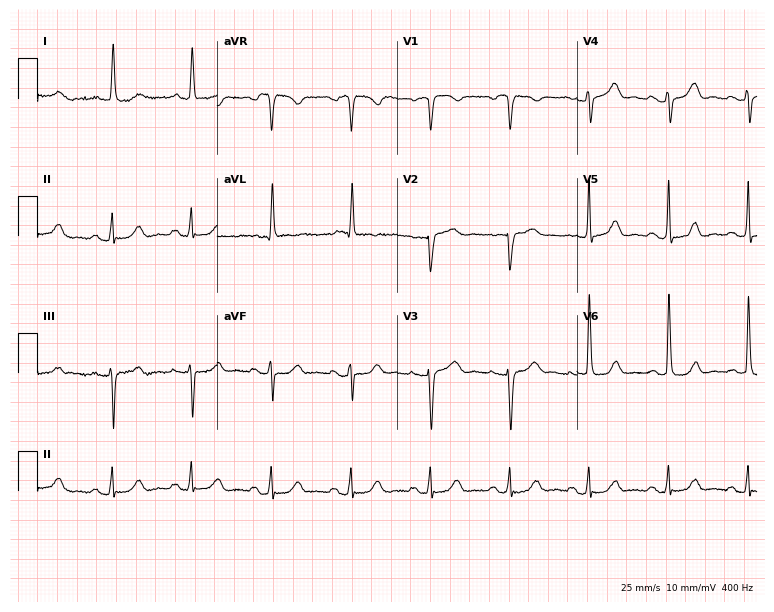
12-lead ECG from a 77-year-old female patient. No first-degree AV block, right bundle branch block (RBBB), left bundle branch block (LBBB), sinus bradycardia, atrial fibrillation (AF) or sinus tachycardia recorded for this tracing.